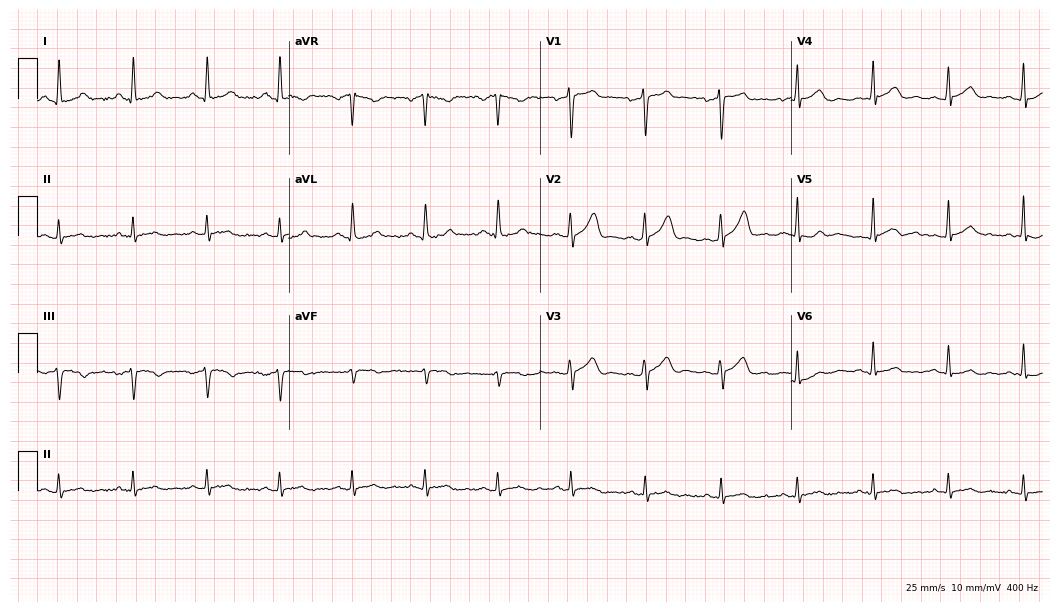
Standard 12-lead ECG recorded from a 36-year-old male patient (10.2-second recording at 400 Hz). Read as a normal ECG.